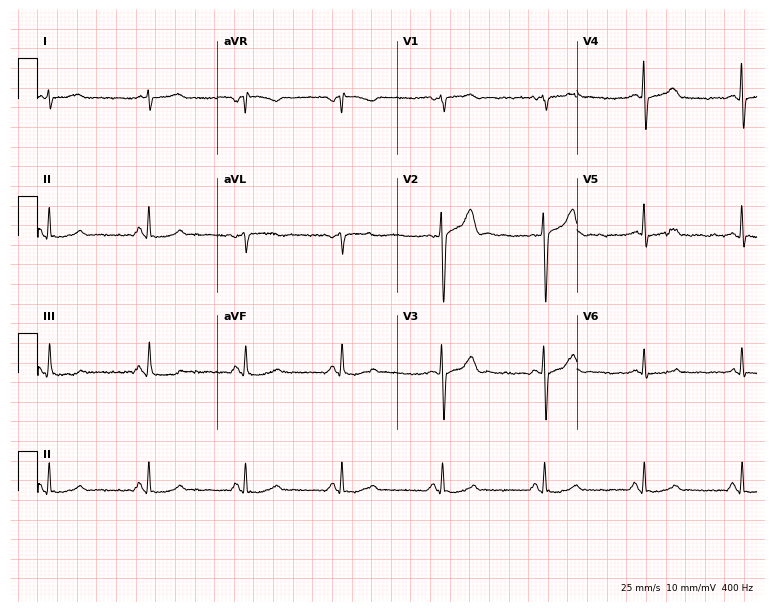
ECG — a 48-year-old man. Labelled as a normal ECG.